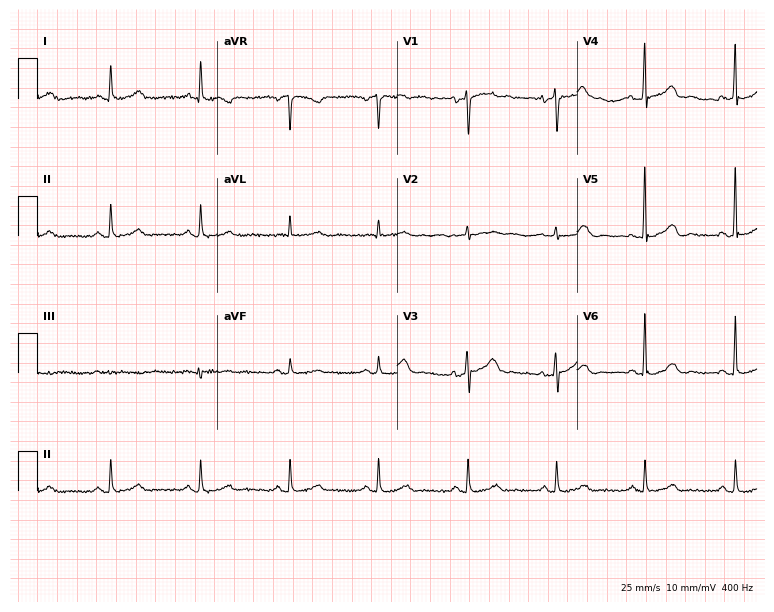
ECG — a 64-year-old male patient. Labelled as a normal ECG.